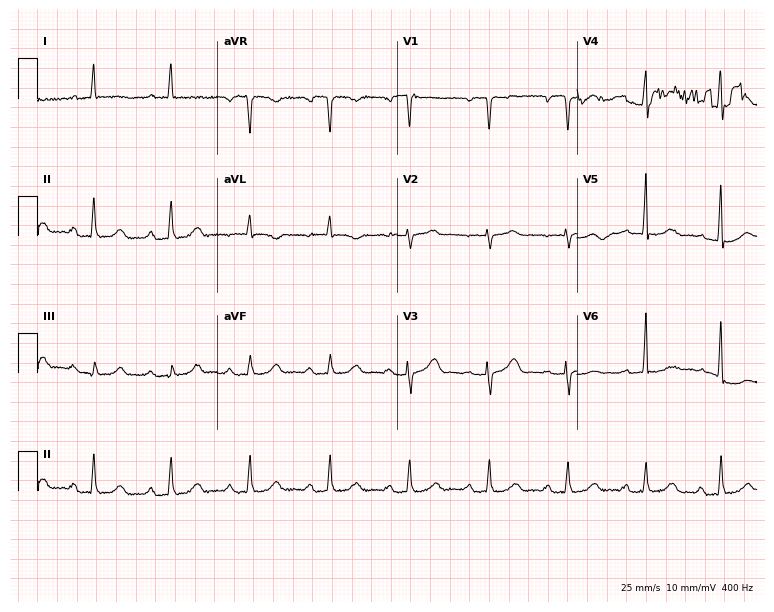
ECG — a female patient, 80 years old. Screened for six findings — first-degree AV block, right bundle branch block (RBBB), left bundle branch block (LBBB), sinus bradycardia, atrial fibrillation (AF), sinus tachycardia — none is recorded. Only these six findings were labelled.